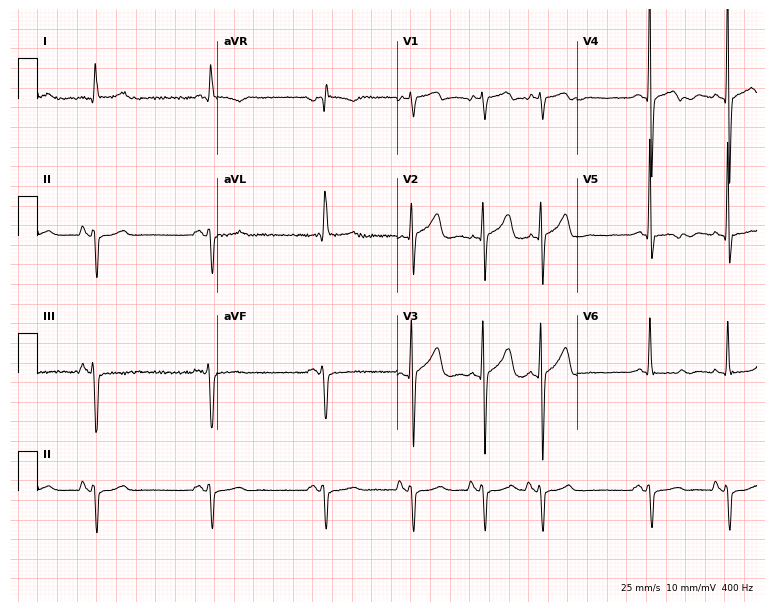
Standard 12-lead ECG recorded from a male patient, 67 years old. None of these six findings is recorded: first-degree AV block, right bundle branch block (RBBB), left bundle branch block (LBBB), sinus bradycardia, atrial fibrillation (AF), sinus tachycardia. Findings outside these six are not listed.